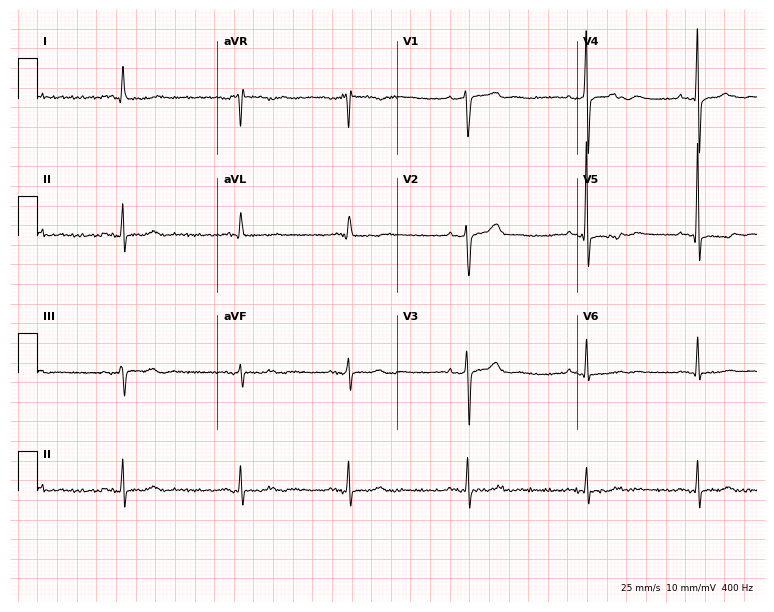
Electrocardiogram, a 78-year-old male patient. Of the six screened findings (first-degree AV block, right bundle branch block, left bundle branch block, sinus bradycardia, atrial fibrillation, sinus tachycardia), none is recorded. Only these six findings were labelled.